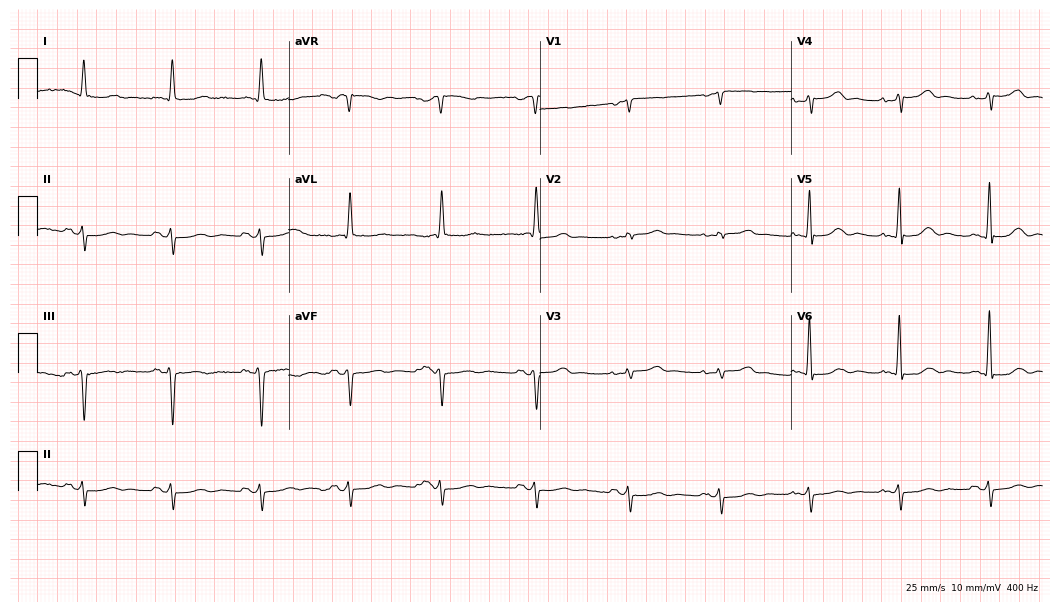
Resting 12-lead electrocardiogram (10.2-second recording at 400 Hz). Patient: a female, 80 years old. None of these six findings is recorded: first-degree AV block, right bundle branch block, left bundle branch block, sinus bradycardia, atrial fibrillation, sinus tachycardia.